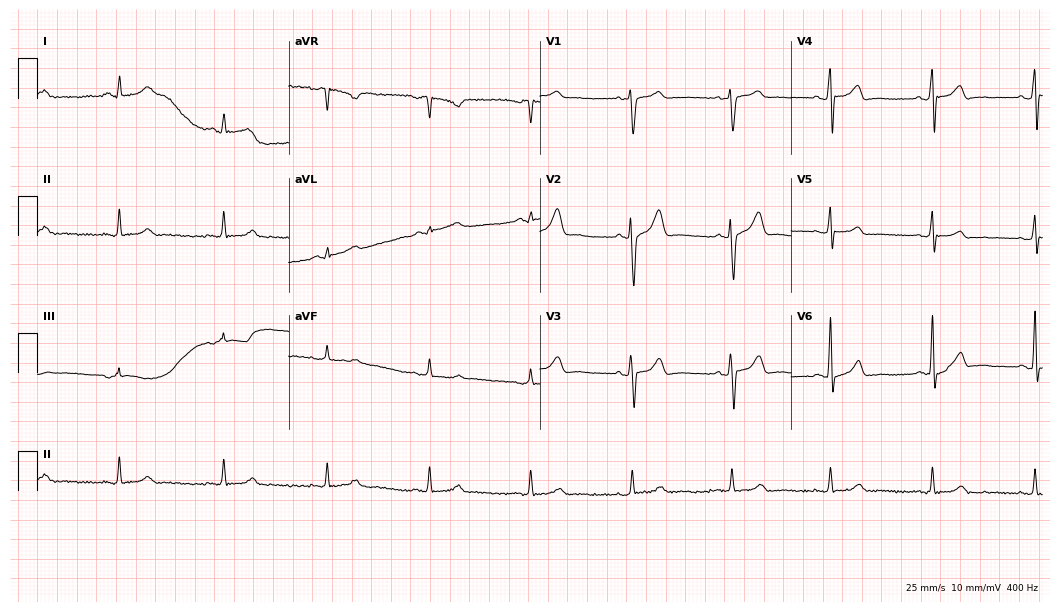
12-lead ECG from a 33-year-old man. Labelled as a normal ECG.